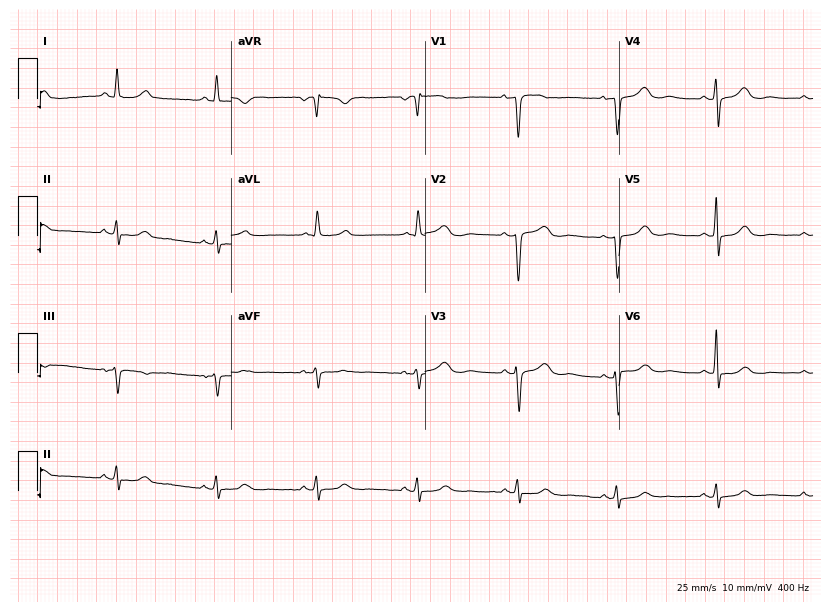
12-lead ECG from a 79-year-old female patient. Screened for six findings — first-degree AV block, right bundle branch block (RBBB), left bundle branch block (LBBB), sinus bradycardia, atrial fibrillation (AF), sinus tachycardia — none is recorded.